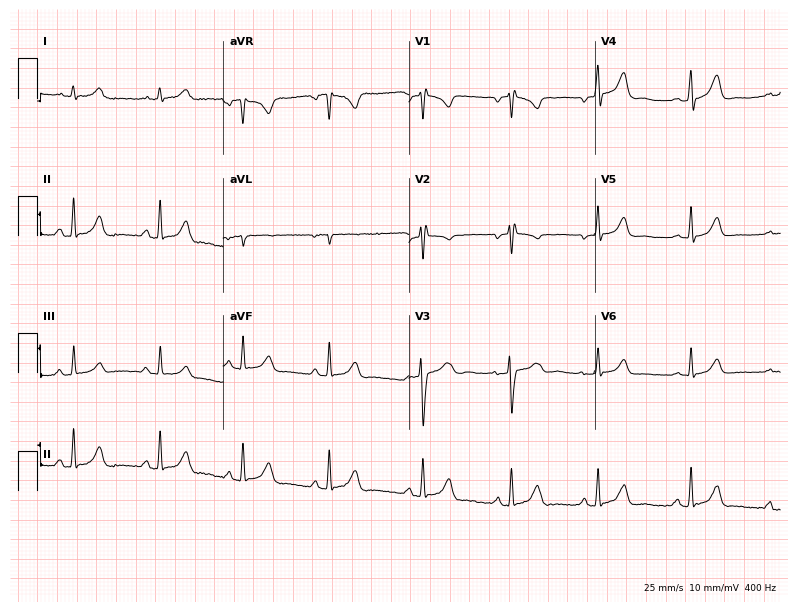
ECG — a 27-year-old female patient. Labelled as a normal ECG.